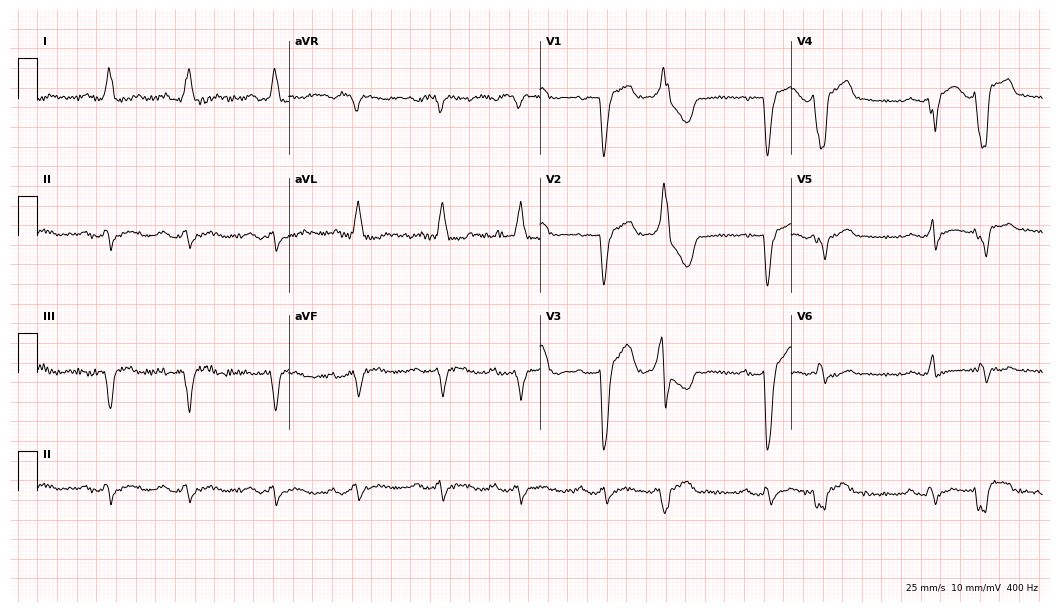
Standard 12-lead ECG recorded from an 80-year-old female patient. None of these six findings is recorded: first-degree AV block, right bundle branch block, left bundle branch block, sinus bradycardia, atrial fibrillation, sinus tachycardia. Only these six findings were labelled.